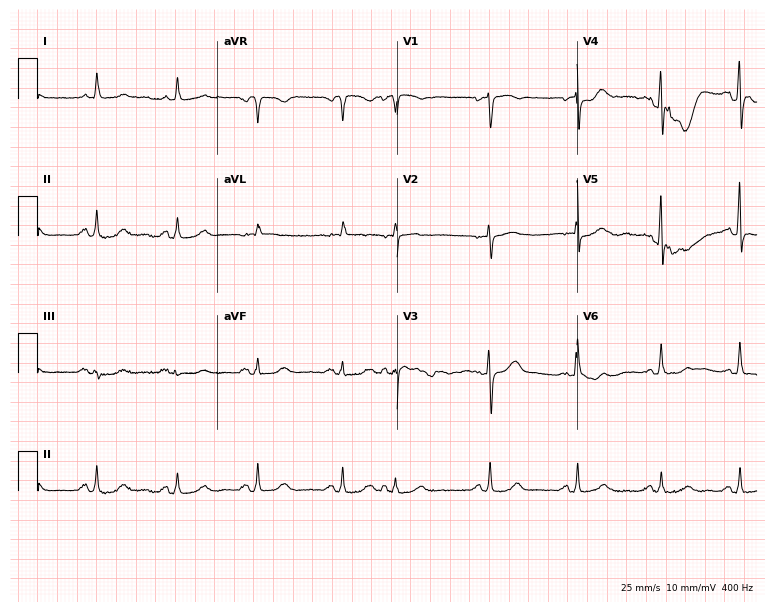
Standard 12-lead ECG recorded from a 72-year-old man. None of these six findings is recorded: first-degree AV block, right bundle branch block, left bundle branch block, sinus bradycardia, atrial fibrillation, sinus tachycardia. Other findings, if any, are not listed.